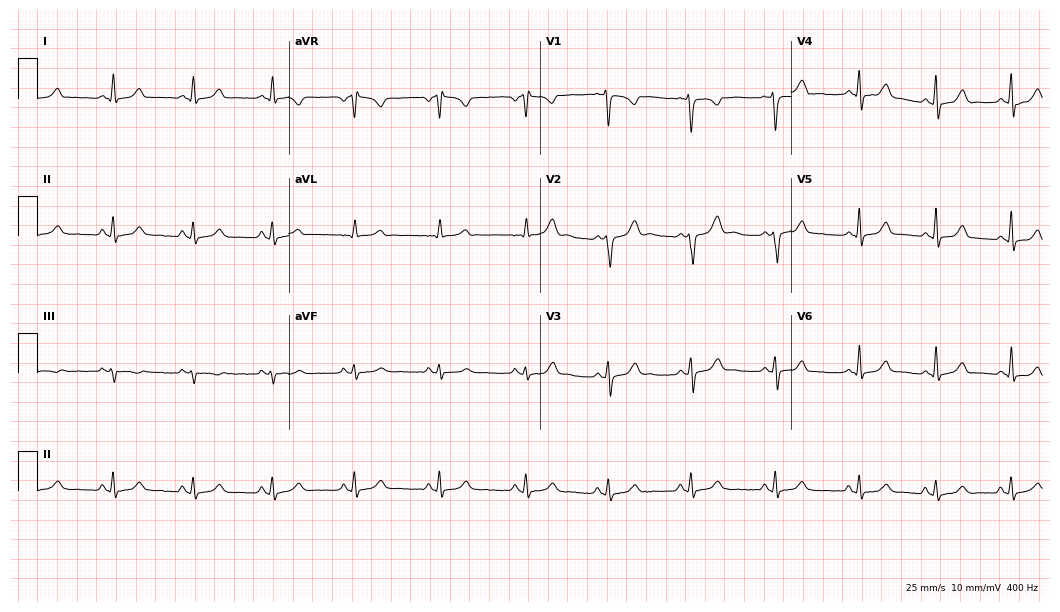
Resting 12-lead electrocardiogram (10.2-second recording at 400 Hz). Patient: a woman, 24 years old. Read as a normal ECG.